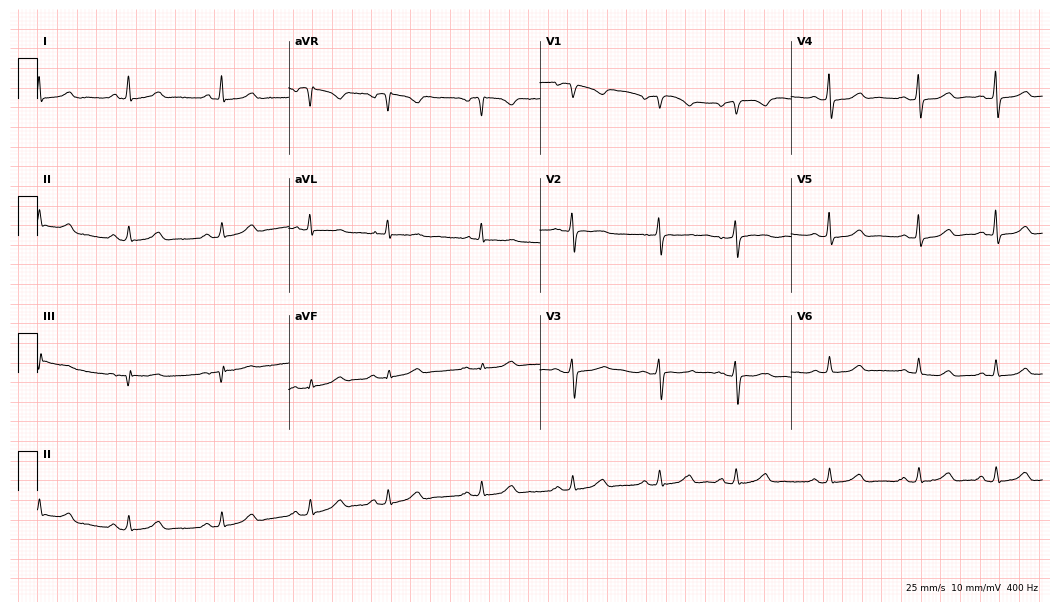
Electrocardiogram (10.2-second recording at 400 Hz), a woman, 51 years old. Overall reading on record: normal ECG.